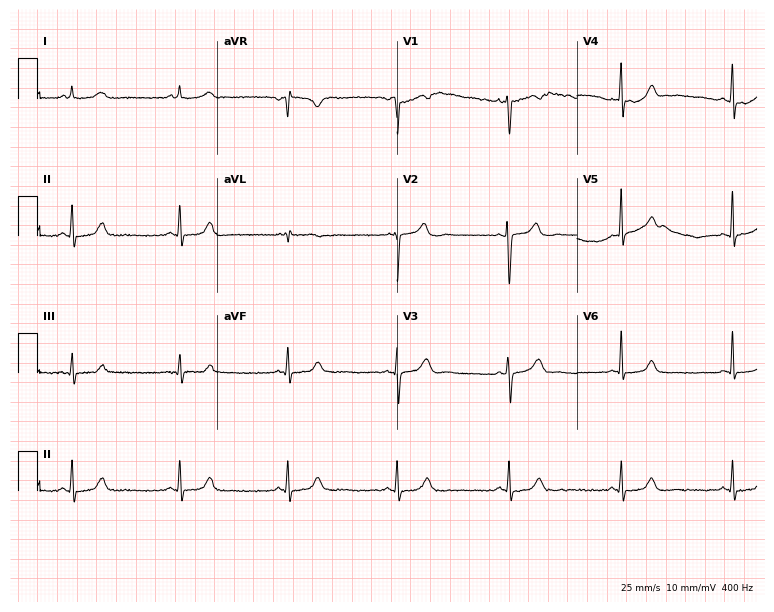
12-lead ECG from a 45-year-old female. Recorded interpretation: within normal limits.